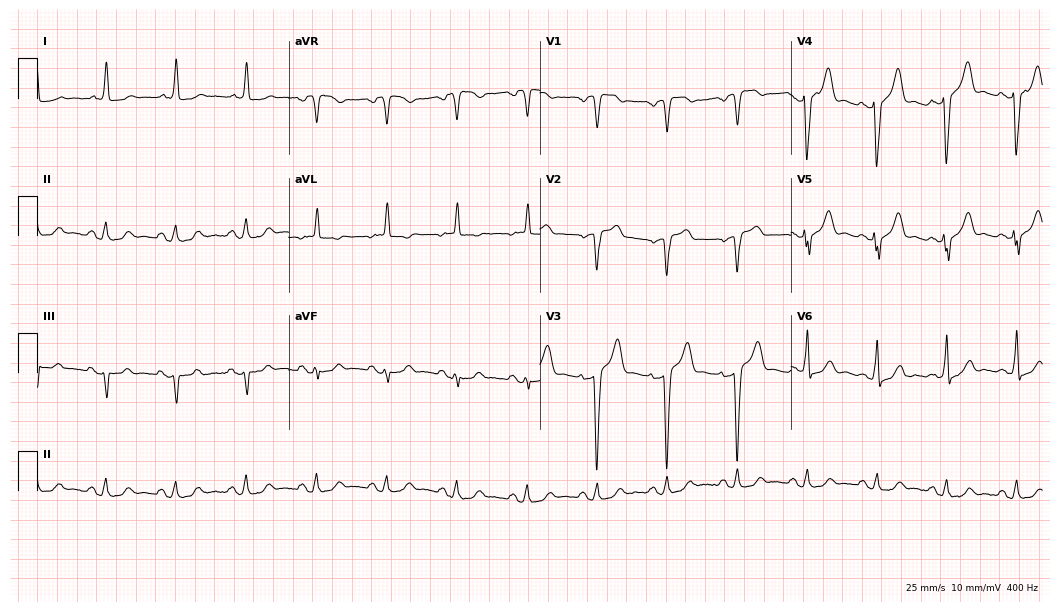
Electrocardiogram, a man, 71 years old. Of the six screened findings (first-degree AV block, right bundle branch block, left bundle branch block, sinus bradycardia, atrial fibrillation, sinus tachycardia), none is recorded.